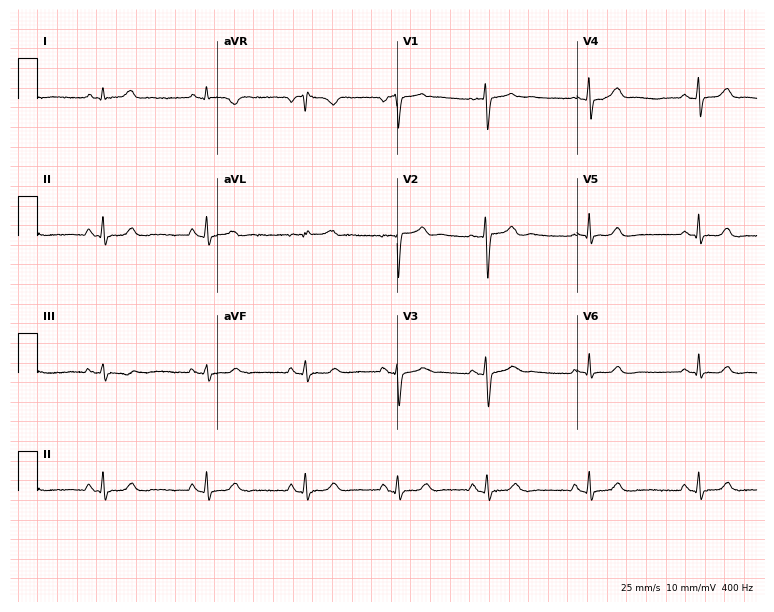
ECG — a female patient, 44 years old. Screened for six findings — first-degree AV block, right bundle branch block, left bundle branch block, sinus bradycardia, atrial fibrillation, sinus tachycardia — none is recorded.